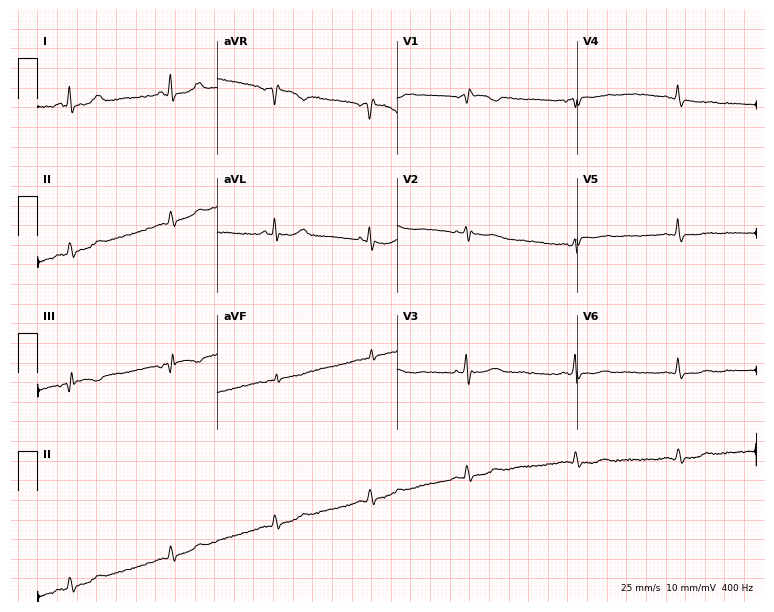
ECG — a 76-year-old female patient. Screened for six findings — first-degree AV block, right bundle branch block, left bundle branch block, sinus bradycardia, atrial fibrillation, sinus tachycardia — none is recorded.